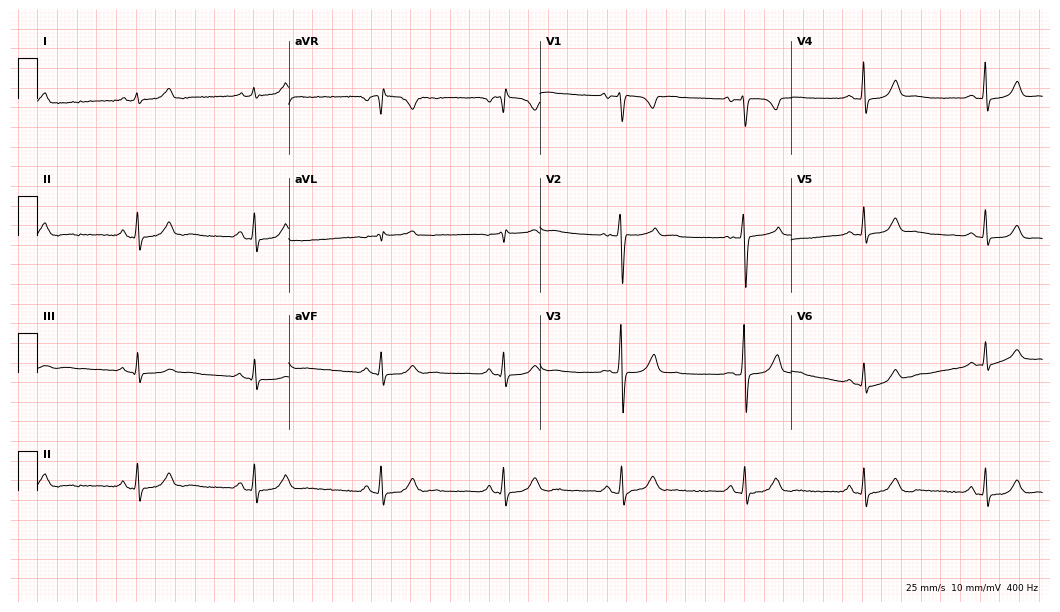
Electrocardiogram (10.2-second recording at 400 Hz), a 34-year-old female. Overall reading on record: normal ECG.